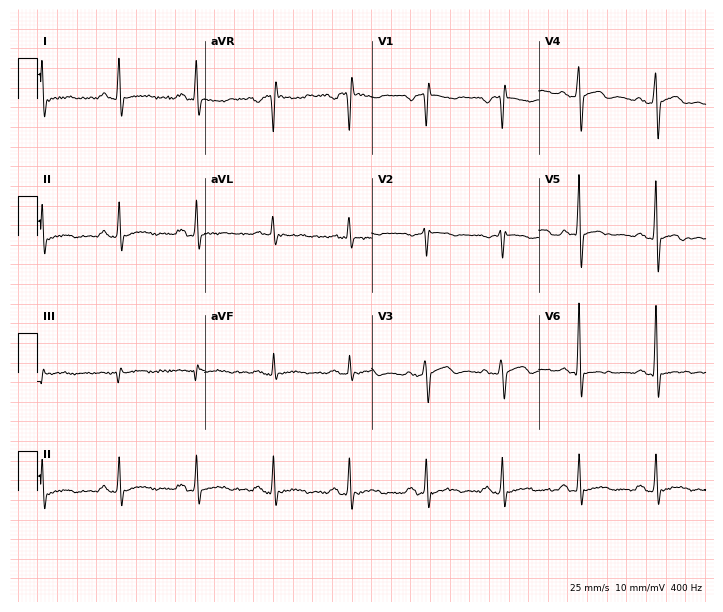
Standard 12-lead ECG recorded from a man, 54 years old. None of these six findings is recorded: first-degree AV block, right bundle branch block, left bundle branch block, sinus bradycardia, atrial fibrillation, sinus tachycardia.